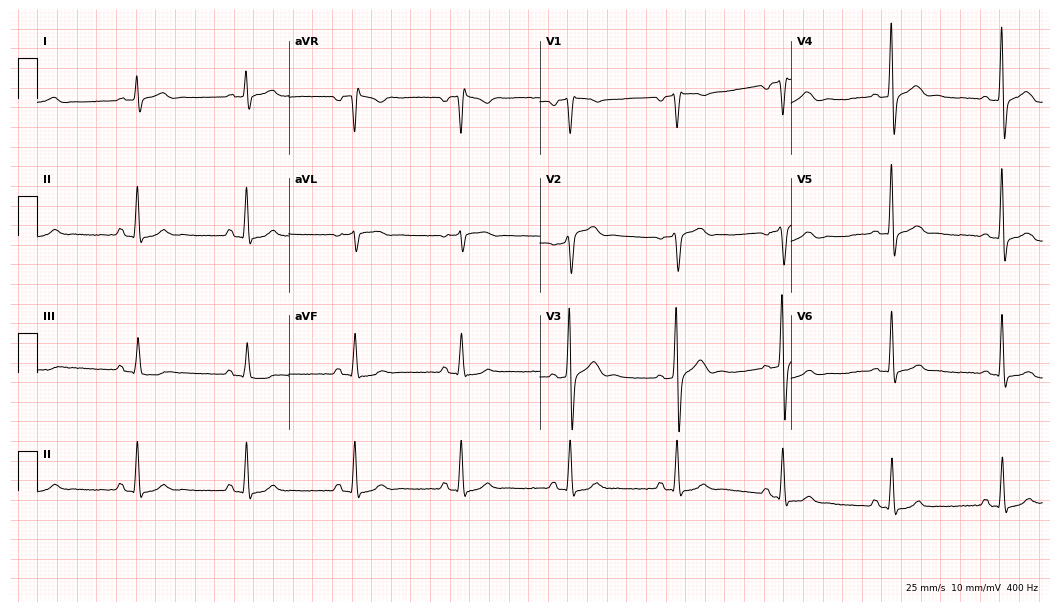
ECG (10.2-second recording at 400 Hz) — a 62-year-old male. Screened for six findings — first-degree AV block, right bundle branch block, left bundle branch block, sinus bradycardia, atrial fibrillation, sinus tachycardia — none is recorded. Findings outside these six are not listed.